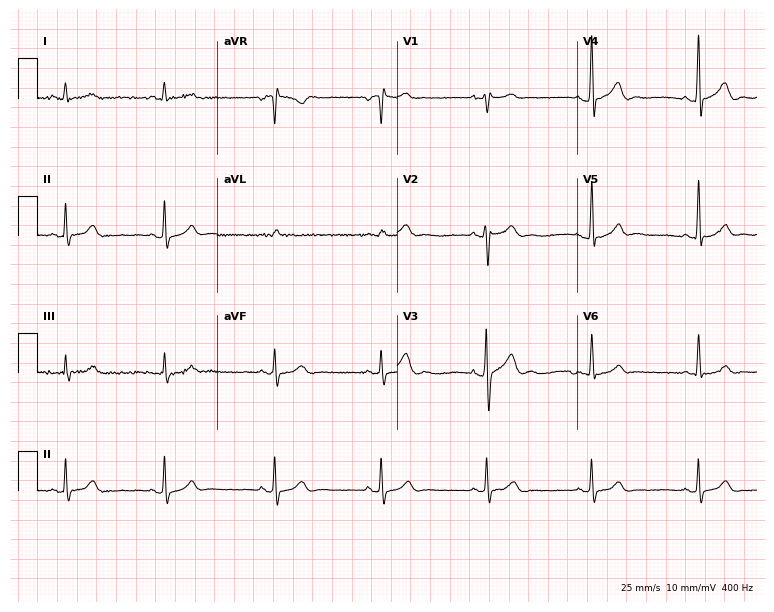
Resting 12-lead electrocardiogram (7.3-second recording at 400 Hz). Patient: a male, 21 years old. Read as a normal ECG.